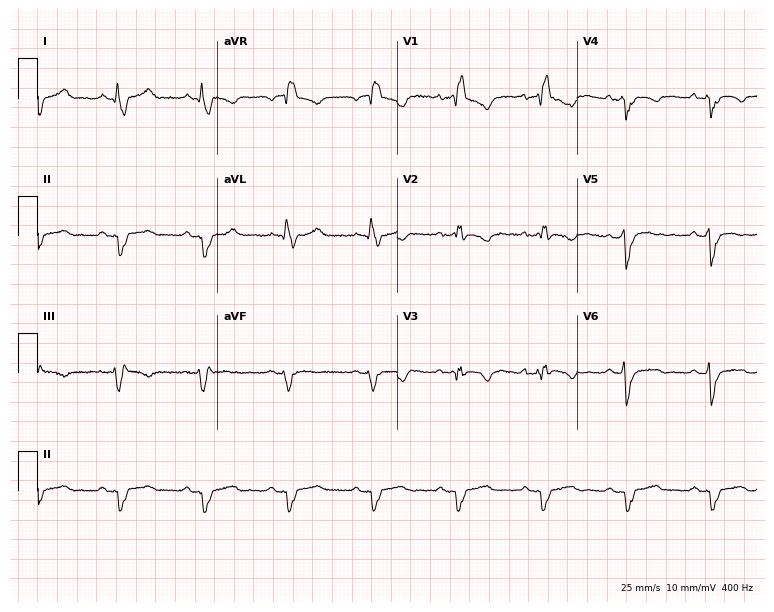
Electrocardiogram (7.3-second recording at 400 Hz), a 37-year-old female patient. Interpretation includes right bundle branch block.